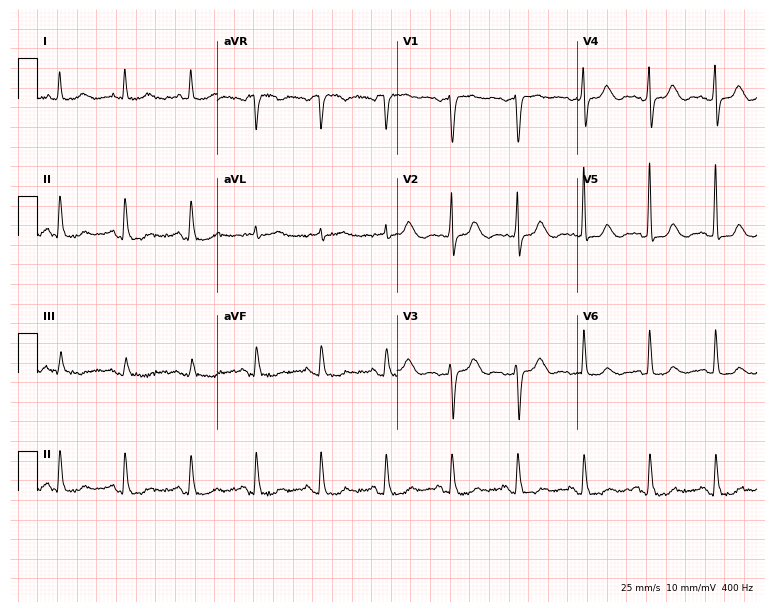
Resting 12-lead electrocardiogram (7.3-second recording at 400 Hz). Patient: a woman, 78 years old. Read as a normal ECG.